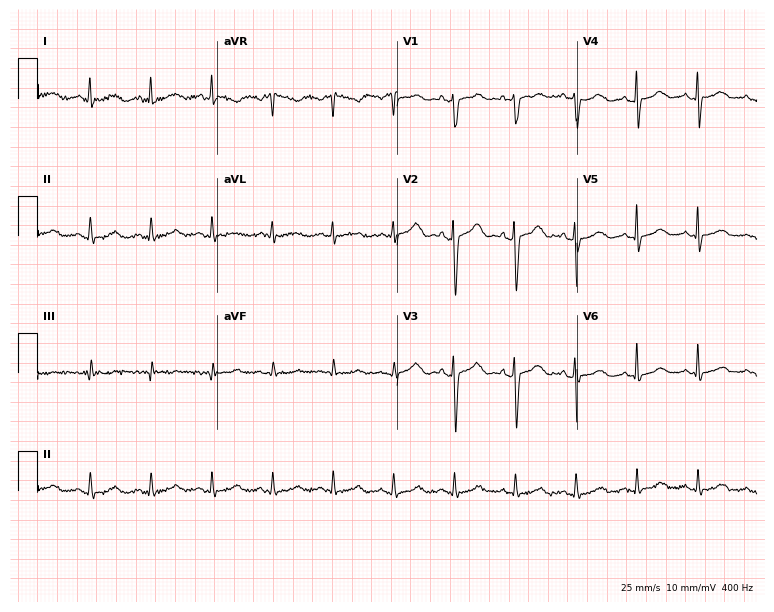
Resting 12-lead electrocardiogram. Patient: a 64-year-old woman. None of these six findings is recorded: first-degree AV block, right bundle branch block, left bundle branch block, sinus bradycardia, atrial fibrillation, sinus tachycardia.